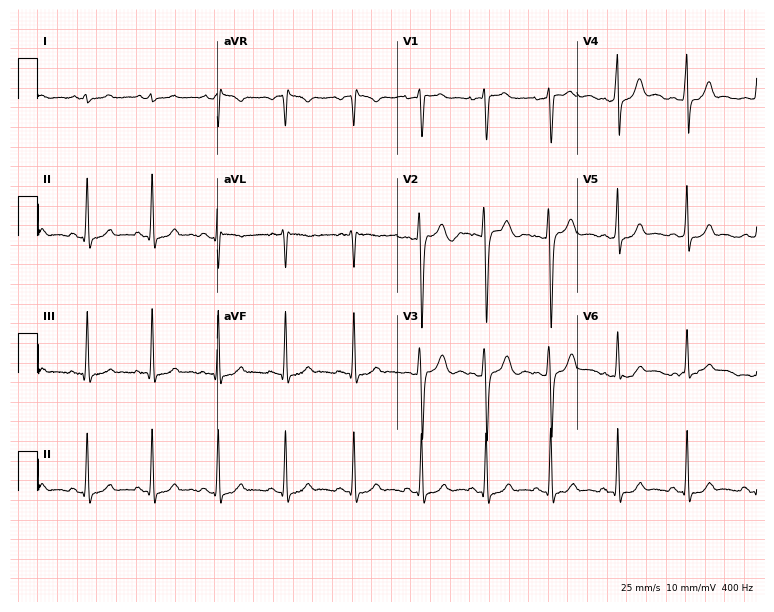
Electrocardiogram, a man, 23 years old. Of the six screened findings (first-degree AV block, right bundle branch block, left bundle branch block, sinus bradycardia, atrial fibrillation, sinus tachycardia), none is recorded. Findings outside these six are not listed.